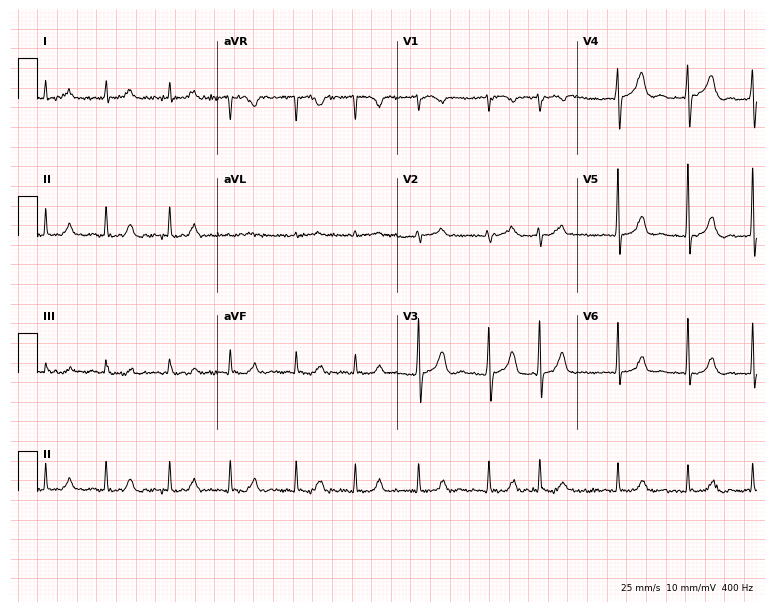
12-lead ECG from an 81-year-old male patient. Screened for six findings — first-degree AV block, right bundle branch block (RBBB), left bundle branch block (LBBB), sinus bradycardia, atrial fibrillation (AF), sinus tachycardia — none is recorded. Other findings, if any, are not listed.